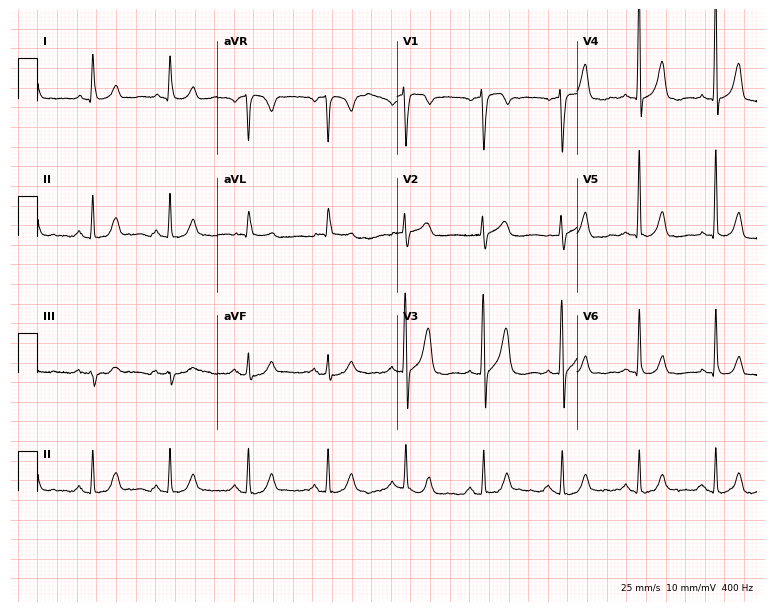
12-lead ECG from a 65-year-old male (7.3-second recording at 400 Hz). Recorded interpretation: within normal limits.